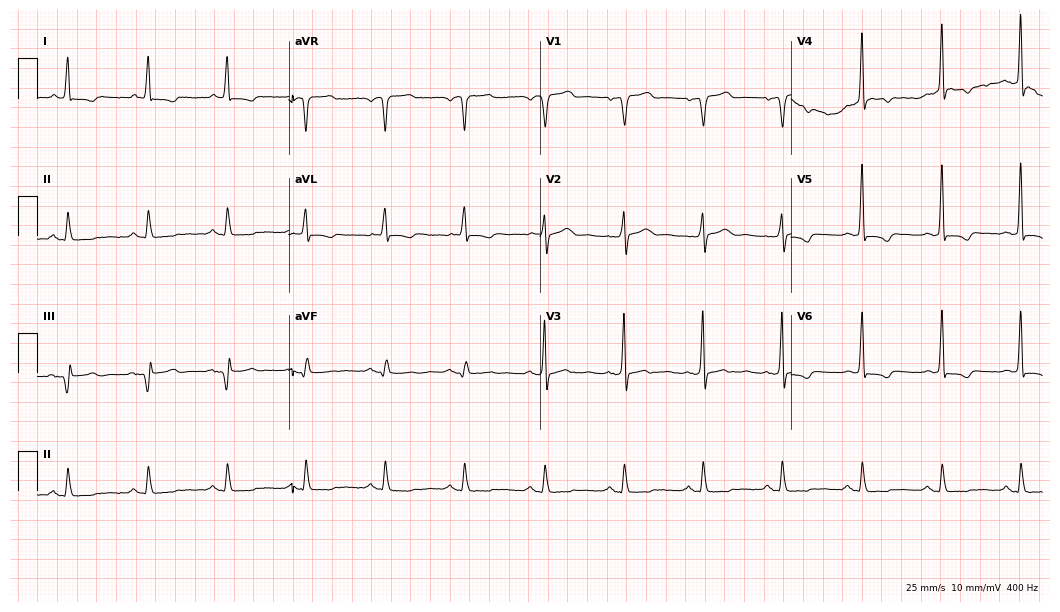
Standard 12-lead ECG recorded from a 65-year-old man. None of these six findings is recorded: first-degree AV block, right bundle branch block (RBBB), left bundle branch block (LBBB), sinus bradycardia, atrial fibrillation (AF), sinus tachycardia. Findings outside these six are not listed.